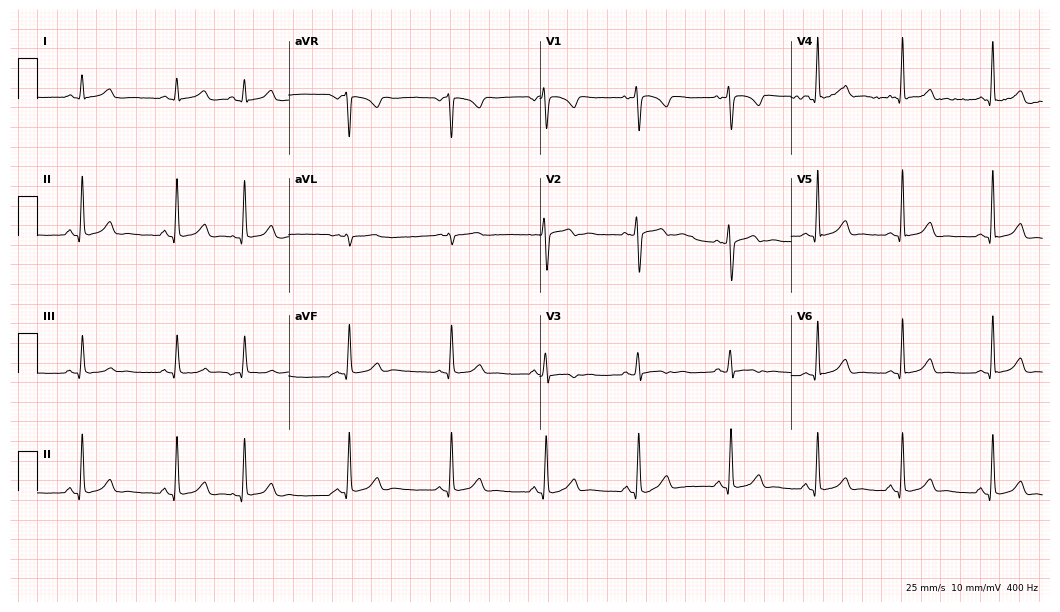
Resting 12-lead electrocardiogram (10.2-second recording at 400 Hz). Patient: a 31-year-old female. None of these six findings is recorded: first-degree AV block, right bundle branch block, left bundle branch block, sinus bradycardia, atrial fibrillation, sinus tachycardia.